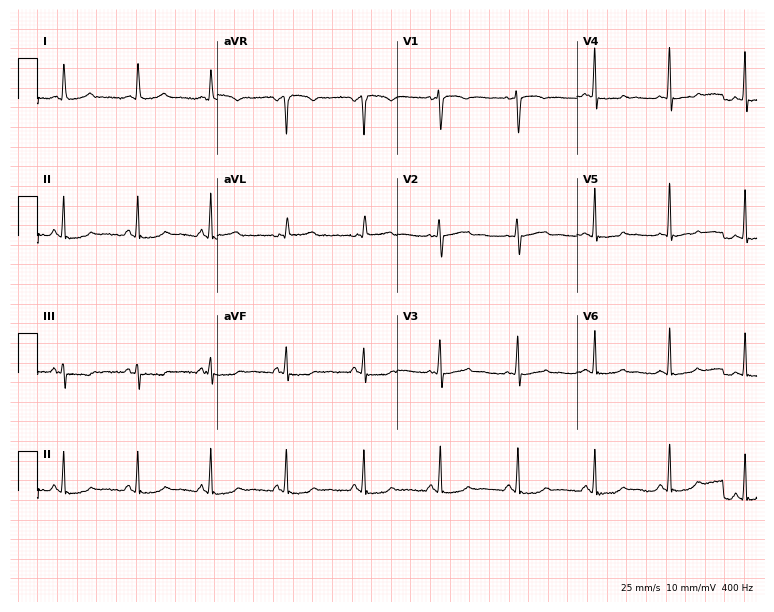
ECG (7.3-second recording at 400 Hz) — a 68-year-old woman. Screened for six findings — first-degree AV block, right bundle branch block, left bundle branch block, sinus bradycardia, atrial fibrillation, sinus tachycardia — none is recorded. Only these six findings were labelled.